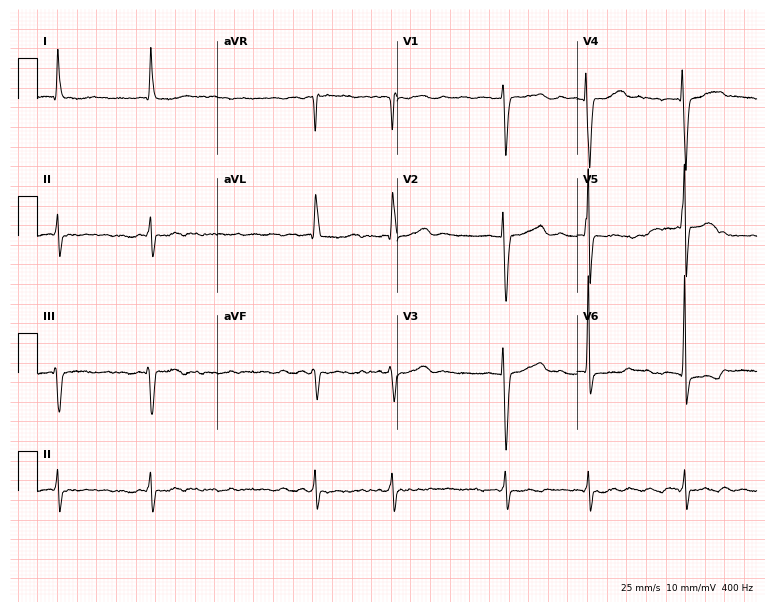
ECG — an 83-year-old female. Findings include atrial fibrillation.